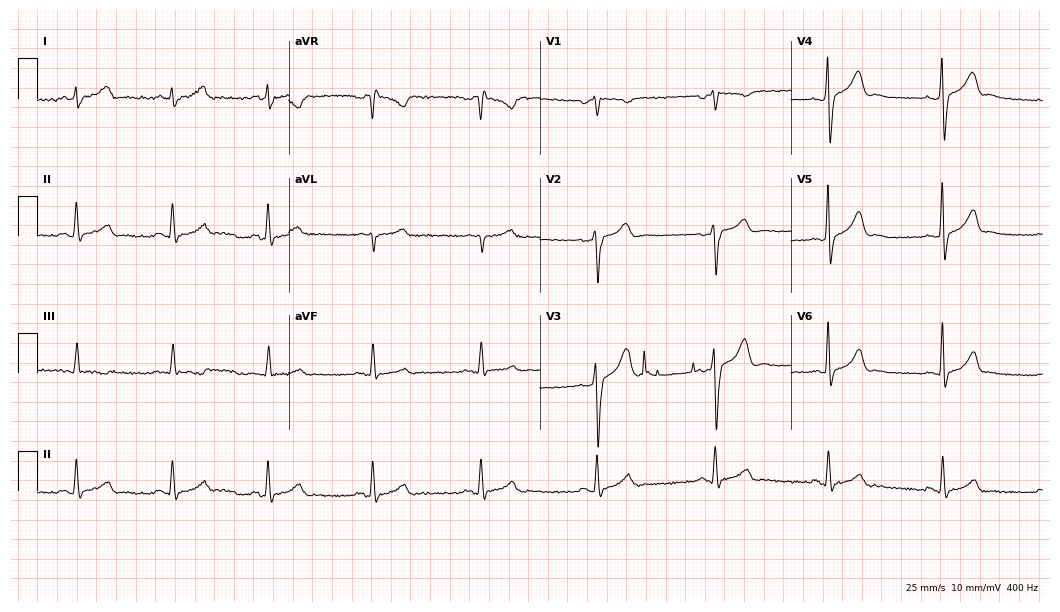
12-lead ECG from a 38-year-old male. Recorded interpretation: within normal limits.